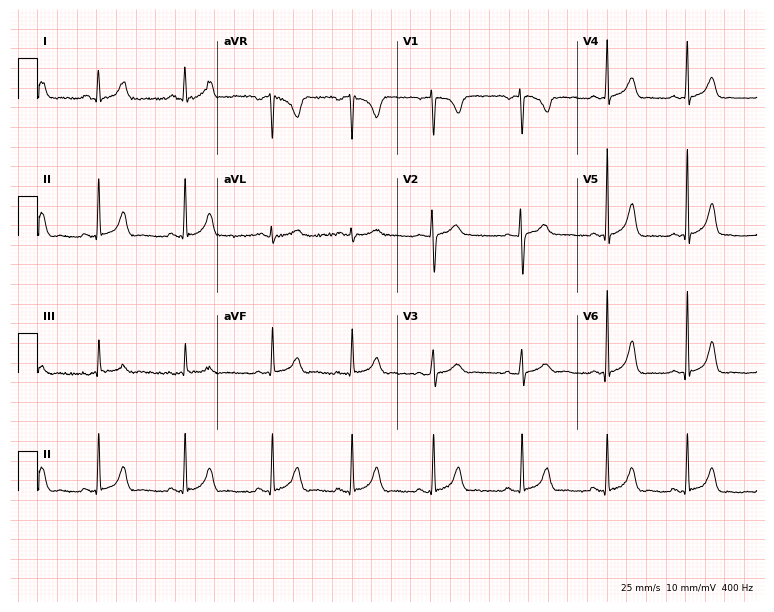
Resting 12-lead electrocardiogram. Patient: a 29-year-old female. Read as a normal ECG.